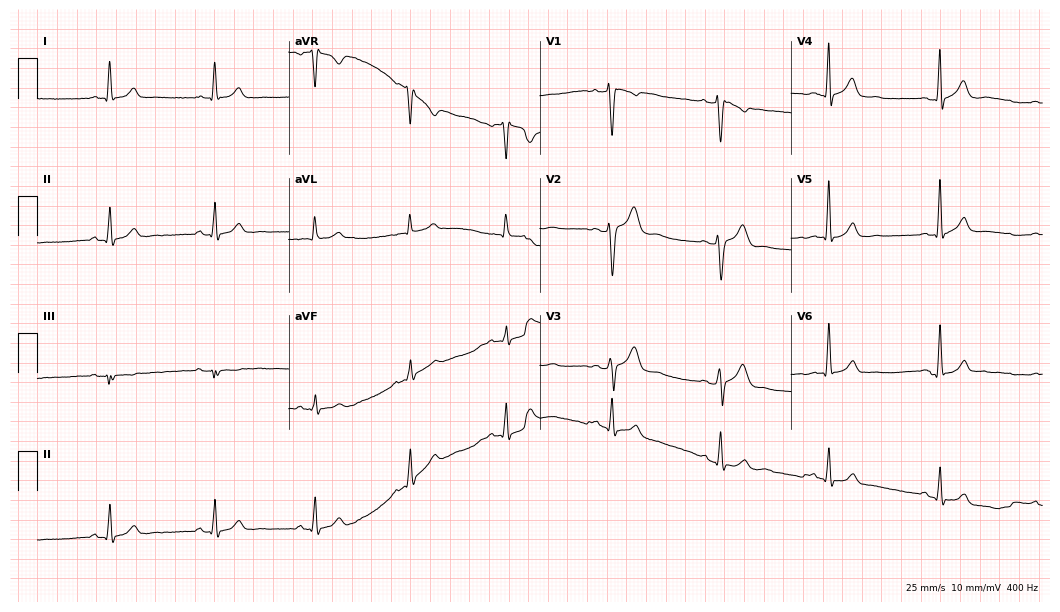
12-lead ECG (10.2-second recording at 400 Hz) from a 39-year-old man. Labelled as a normal ECG.